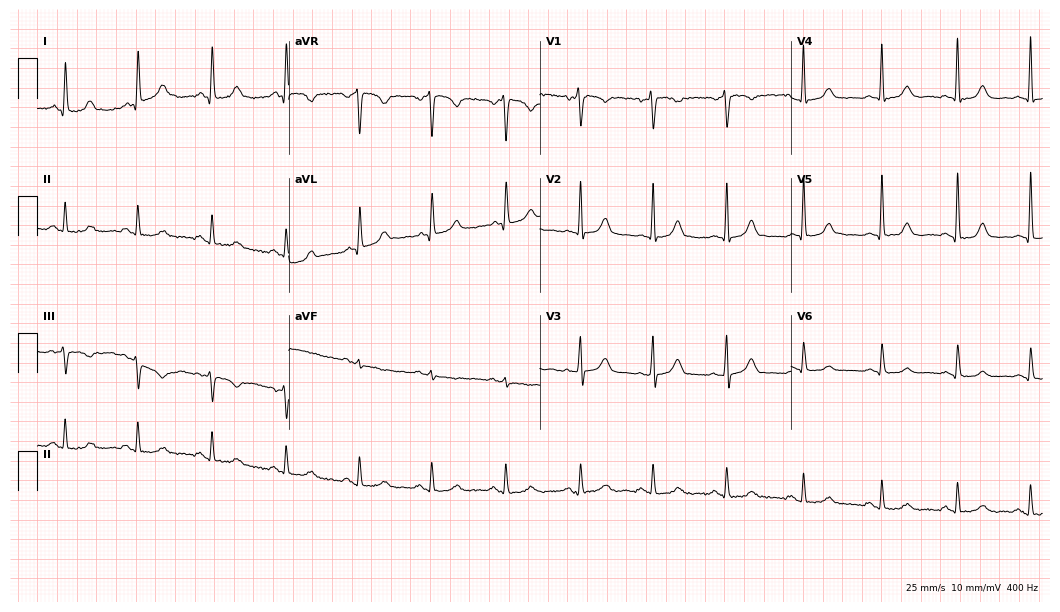
12-lead ECG from a female patient, 50 years old. Screened for six findings — first-degree AV block, right bundle branch block, left bundle branch block, sinus bradycardia, atrial fibrillation, sinus tachycardia — none is recorded. Other findings, if any, are not listed.